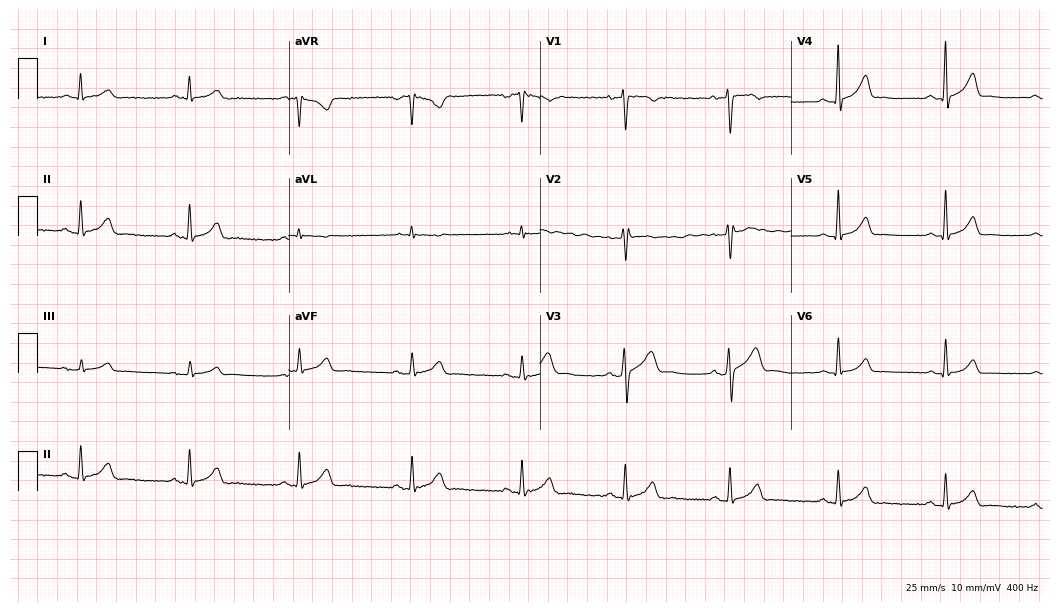
12-lead ECG from a man, 28 years old. Recorded interpretation: within normal limits.